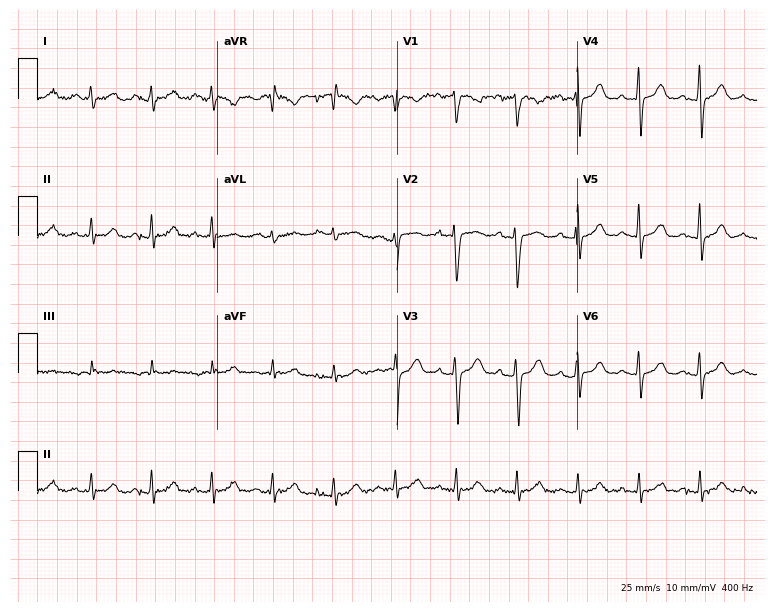
Standard 12-lead ECG recorded from a female, 39 years old (7.3-second recording at 400 Hz). Read as a normal ECG.